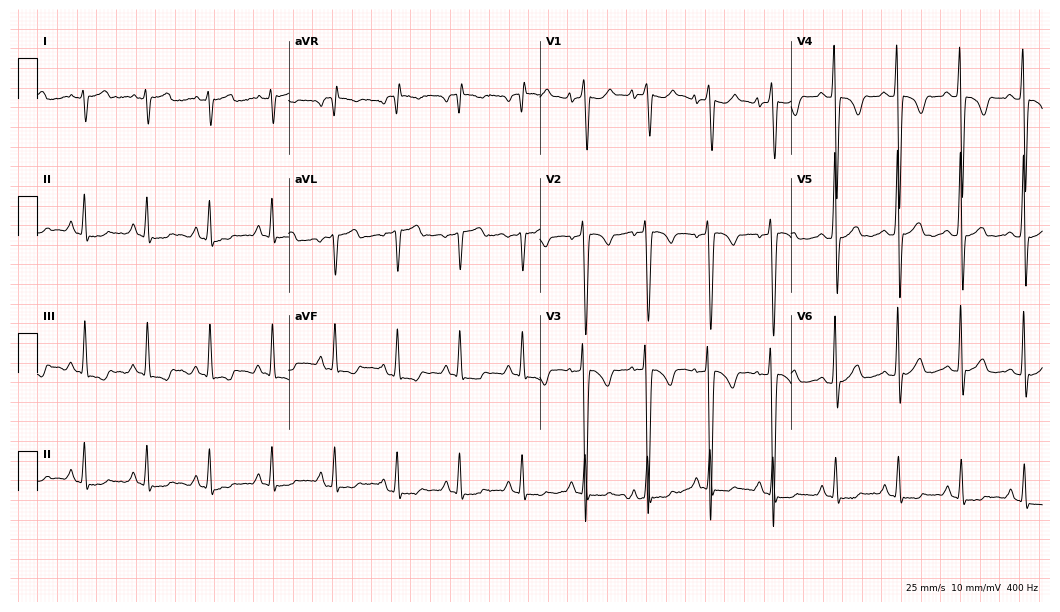
Standard 12-lead ECG recorded from a 35-year-old male patient (10.2-second recording at 400 Hz). None of these six findings is recorded: first-degree AV block, right bundle branch block (RBBB), left bundle branch block (LBBB), sinus bradycardia, atrial fibrillation (AF), sinus tachycardia. Other findings, if any, are not listed.